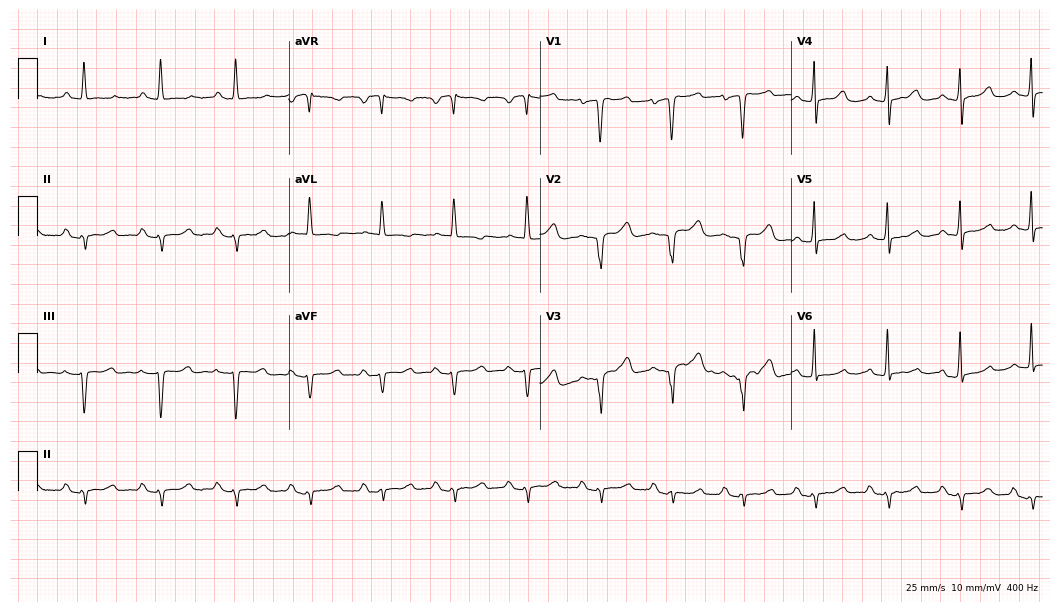
ECG — a 58-year-old female patient. Findings include first-degree AV block.